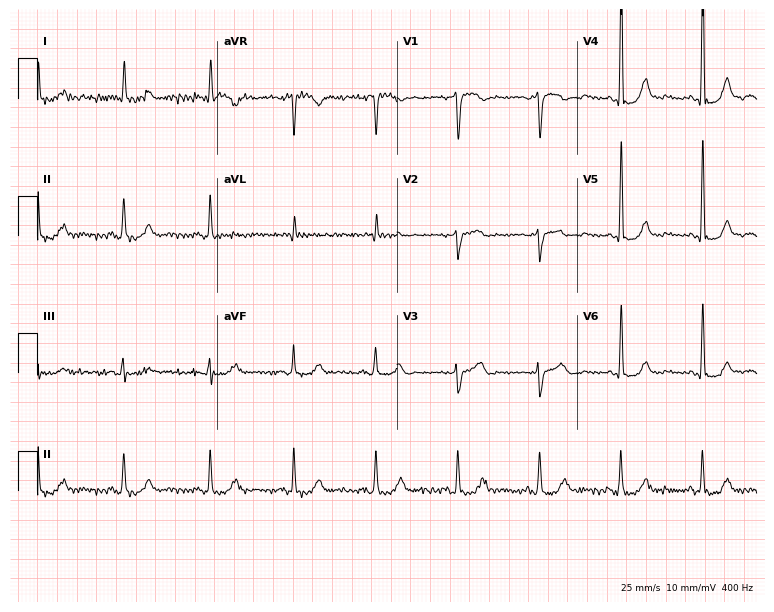
12-lead ECG (7.3-second recording at 400 Hz) from a 61-year-old man. Labelled as a normal ECG.